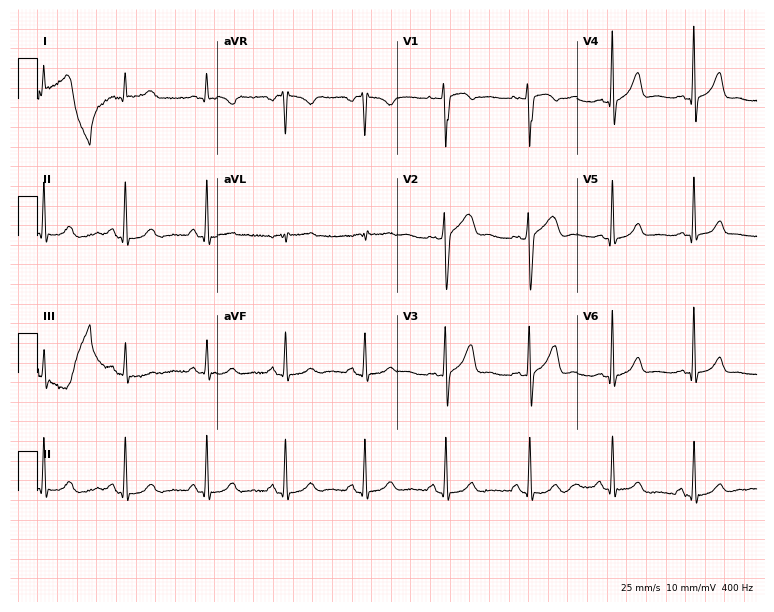
ECG — a female patient, 57 years old. Screened for six findings — first-degree AV block, right bundle branch block, left bundle branch block, sinus bradycardia, atrial fibrillation, sinus tachycardia — none is recorded. Only these six findings were labelled.